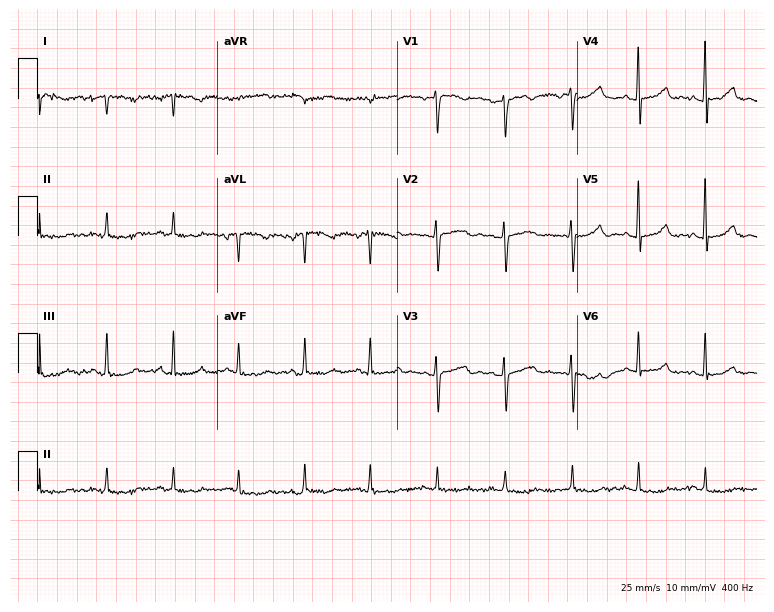
Resting 12-lead electrocardiogram (7.3-second recording at 400 Hz). Patient: a 50-year-old woman. None of these six findings is recorded: first-degree AV block, right bundle branch block, left bundle branch block, sinus bradycardia, atrial fibrillation, sinus tachycardia.